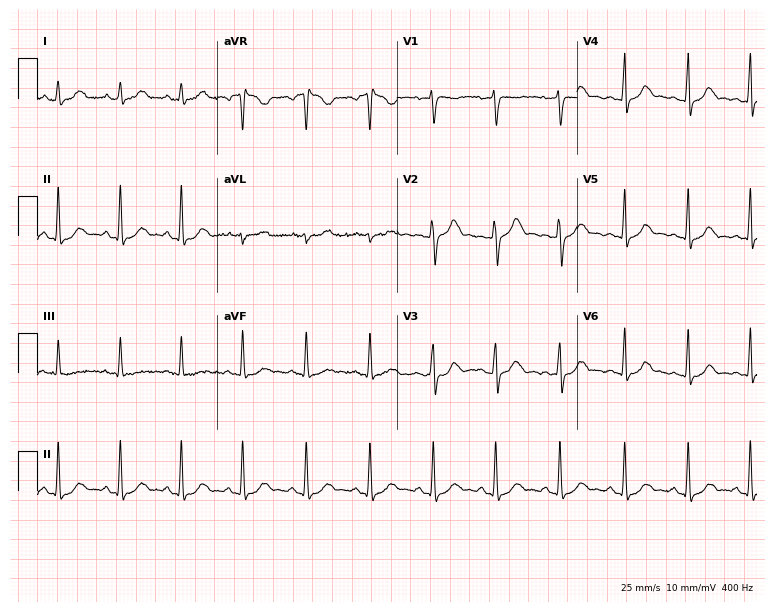
12-lead ECG from a 21-year-old female patient (7.3-second recording at 400 Hz). No first-degree AV block, right bundle branch block, left bundle branch block, sinus bradycardia, atrial fibrillation or sinus tachycardia recorded for this tracing. Only these six findings were labelled.